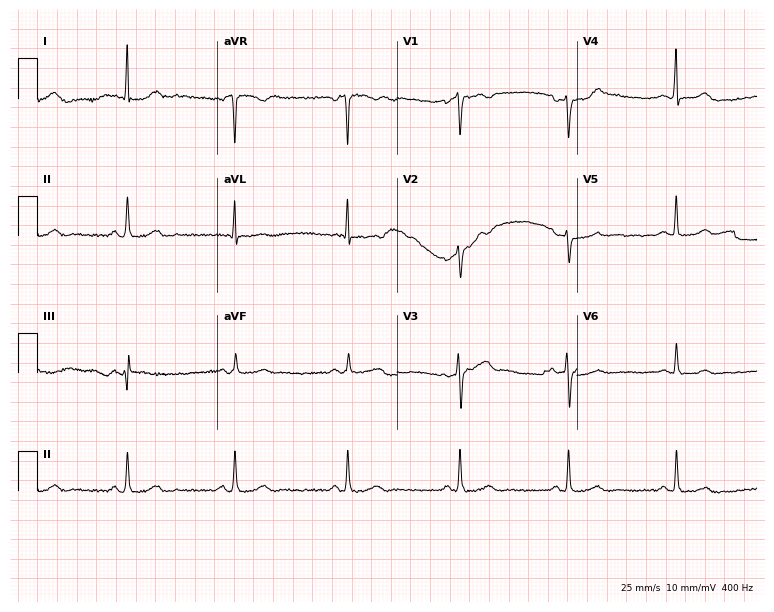
Resting 12-lead electrocardiogram. Patient: a woman, 61 years old. None of these six findings is recorded: first-degree AV block, right bundle branch block (RBBB), left bundle branch block (LBBB), sinus bradycardia, atrial fibrillation (AF), sinus tachycardia.